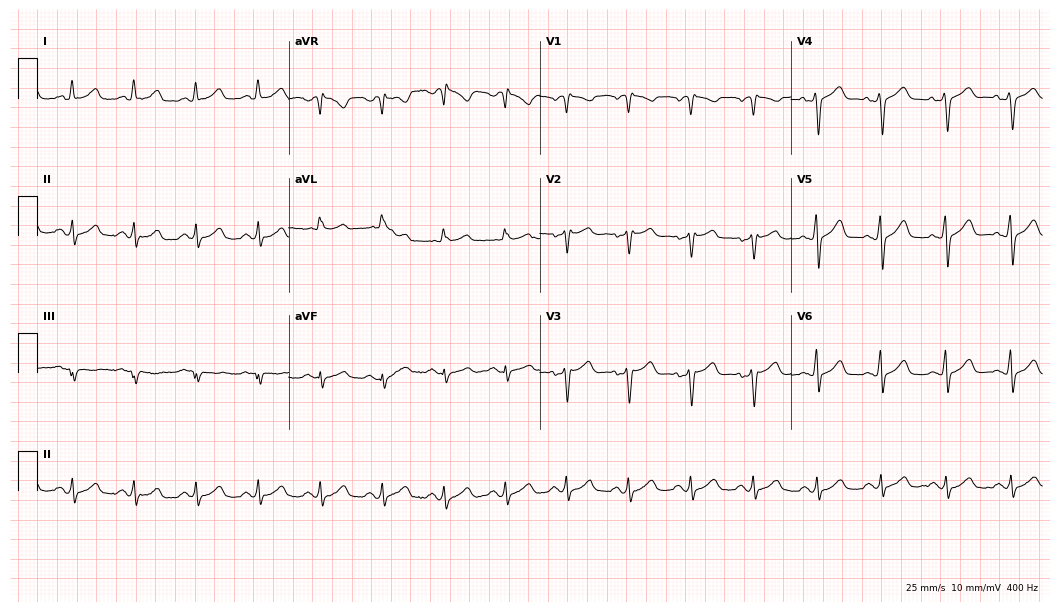
Resting 12-lead electrocardiogram. Patient: a 46-year-old female. None of these six findings is recorded: first-degree AV block, right bundle branch block, left bundle branch block, sinus bradycardia, atrial fibrillation, sinus tachycardia. Other findings, if any, are not listed.